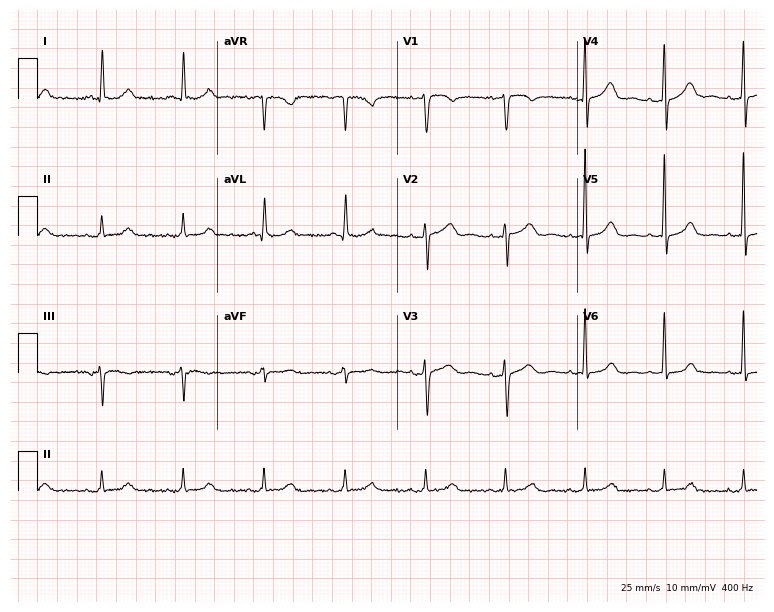
12-lead ECG from a female patient, 76 years old. Recorded interpretation: within normal limits.